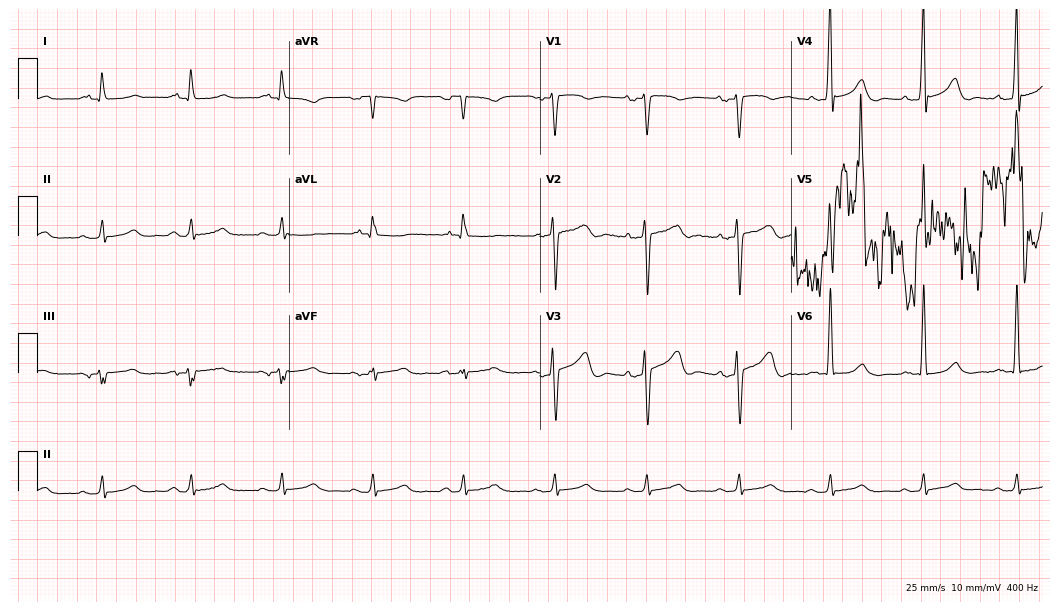
Standard 12-lead ECG recorded from an 82-year-old man (10.2-second recording at 400 Hz). None of these six findings is recorded: first-degree AV block, right bundle branch block, left bundle branch block, sinus bradycardia, atrial fibrillation, sinus tachycardia.